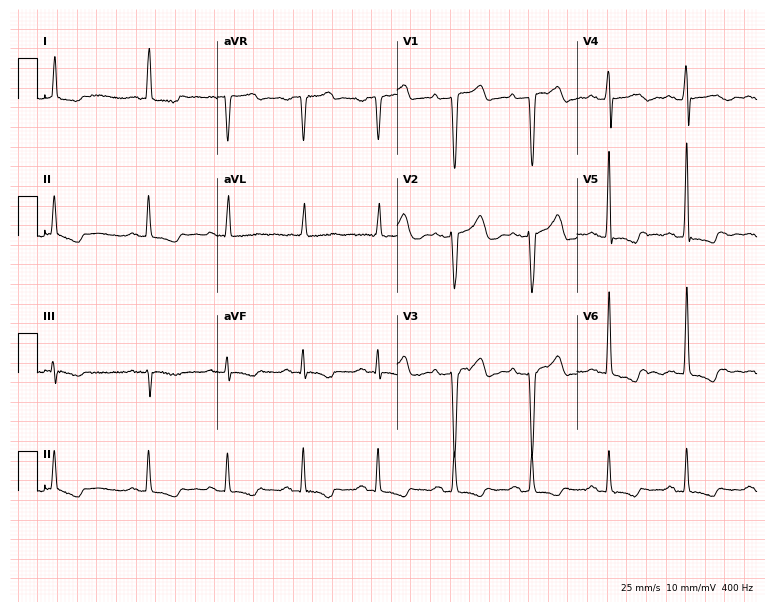
Resting 12-lead electrocardiogram (7.3-second recording at 400 Hz). Patient: a male, 78 years old. None of these six findings is recorded: first-degree AV block, right bundle branch block, left bundle branch block, sinus bradycardia, atrial fibrillation, sinus tachycardia. Findings outside these six are not listed.